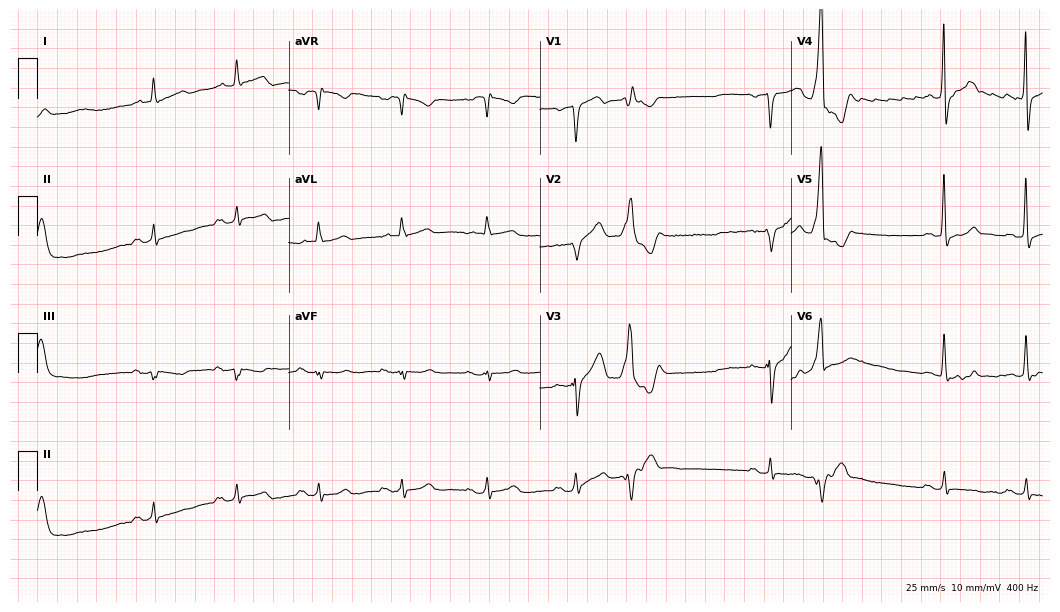
ECG — a 58-year-old male patient. Screened for six findings — first-degree AV block, right bundle branch block (RBBB), left bundle branch block (LBBB), sinus bradycardia, atrial fibrillation (AF), sinus tachycardia — none is recorded. Other findings, if any, are not listed.